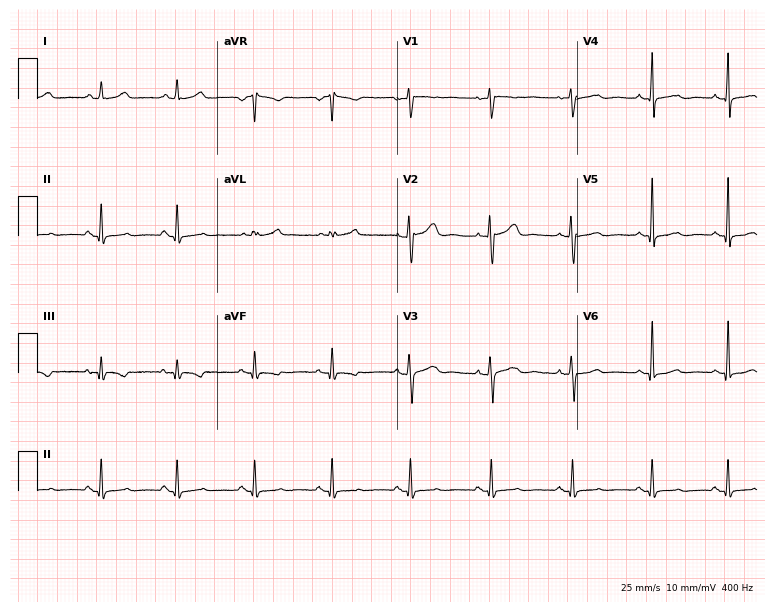
ECG — a 43-year-old female patient. Screened for six findings — first-degree AV block, right bundle branch block (RBBB), left bundle branch block (LBBB), sinus bradycardia, atrial fibrillation (AF), sinus tachycardia — none is recorded.